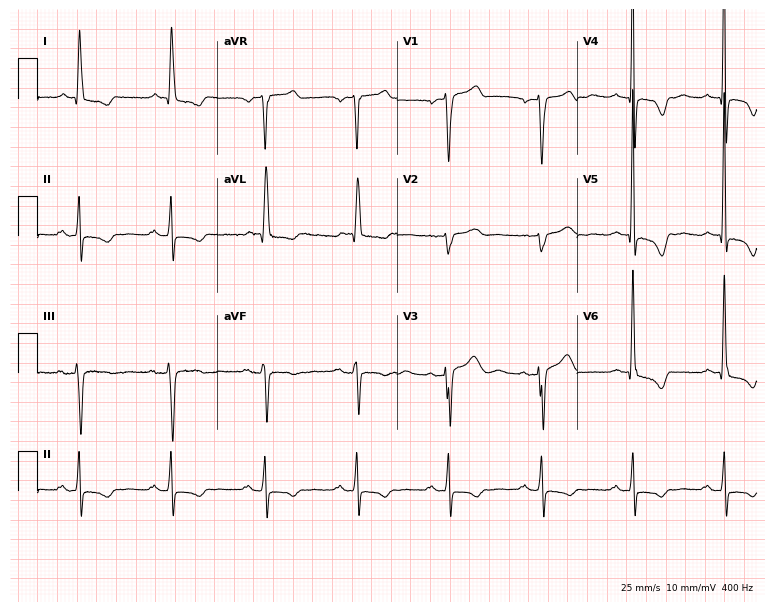
ECG — a man, 64 years old. Screened for six findings — first-degree AV block, right bundle branch block, left bundle branch block, sinus bradycardia, atrial fibrillation, sinus tachycardia — none is recorded.